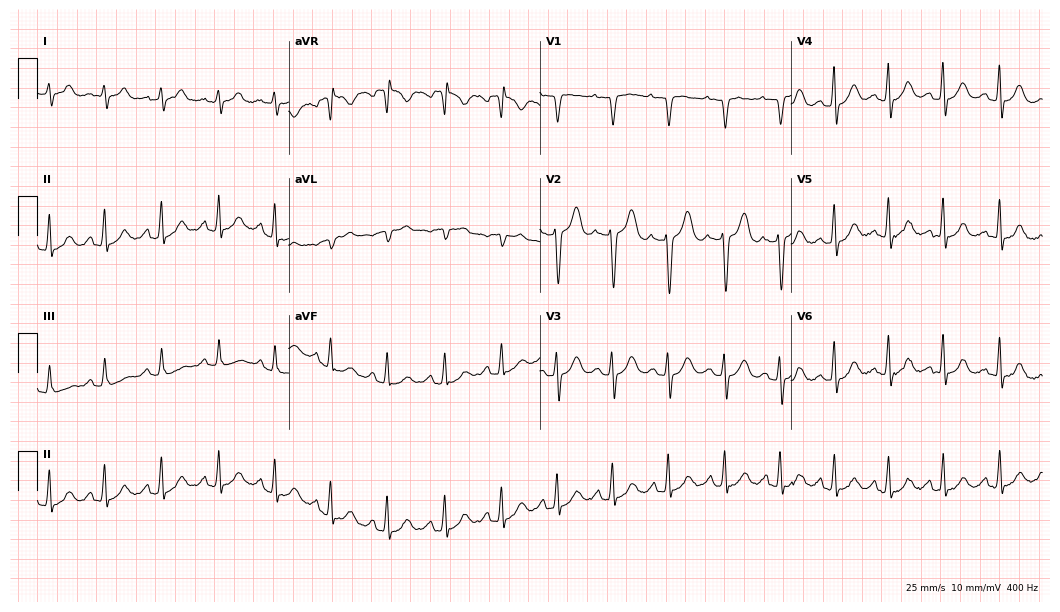
Electrocardiogram, a female patient, 17 years old. Interpretation includes sinus tachycardia (a sinus rate of 100 beats per minute or more).